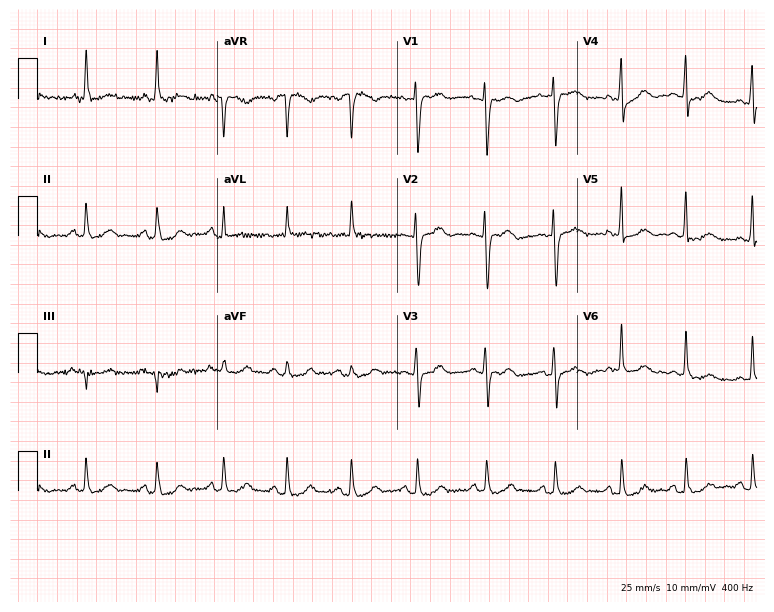
12-lead ECG from a female, 53 years old (7.3-second recording at 400 Hz). Recorded interpretation: within normal limits.